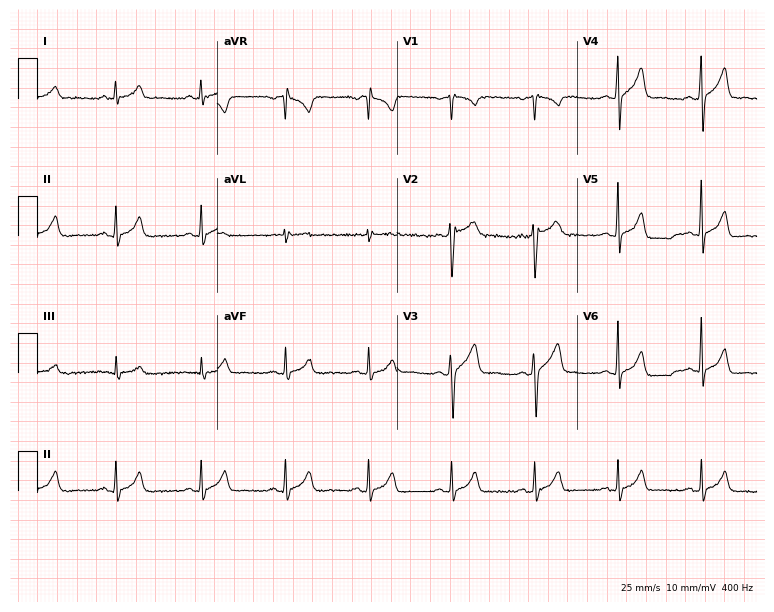
Electrocardiogram, a 39-year-old male. Of the six screened findings (first-degree AV block, right bundle branch block (RBBB), left bundle branch block (LBBB), sinus bradycardia, atrial fibrillation (AF), sinus tachycardia), none is recorded. Findings outside these six are not listed.